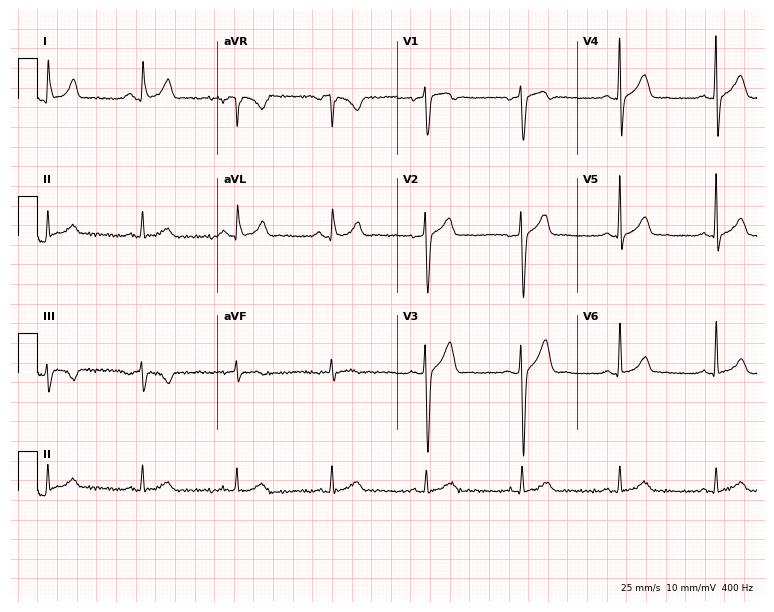
12-lead ECG (7.3-second recording at 400 Hz) from a 56-year-old male patient. Labelled as a normal ECG.